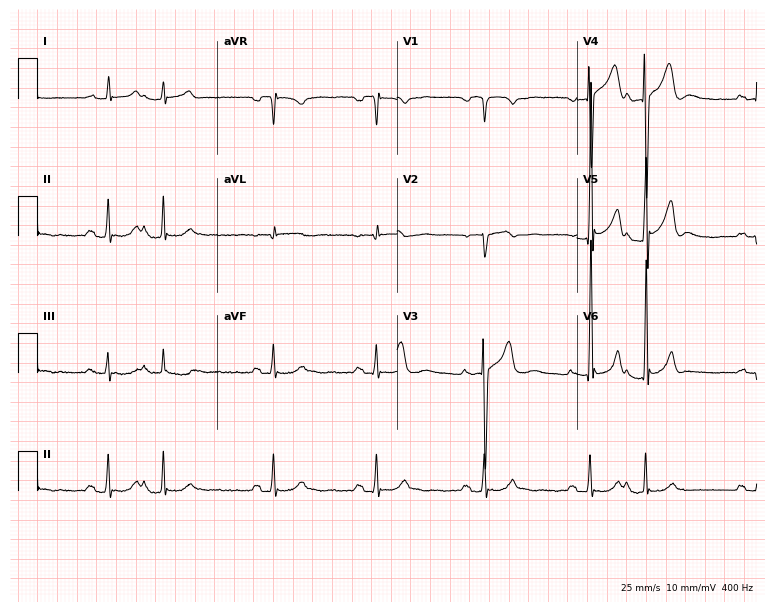
Electrocardiogram, a 56-year-old male. Of the six screened findings (first-degree AV block, right bundle branch block (RBBB), left bundle branch block (LBBB), sinus bradycardia, atrial fibrillation (AF), sinus tachycardia), none is recorded.